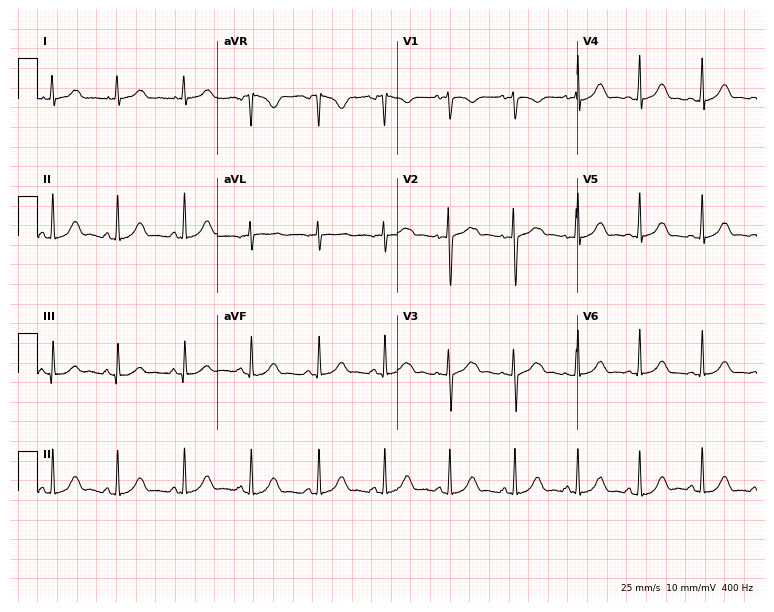
ECG — a 21-year-old female. Screened for six findings — first-degree AV block, right bundle branch block, left bundle branch block, sinus bradycardia, atrial fibrillation, sinus tachycardia — none is recorded.